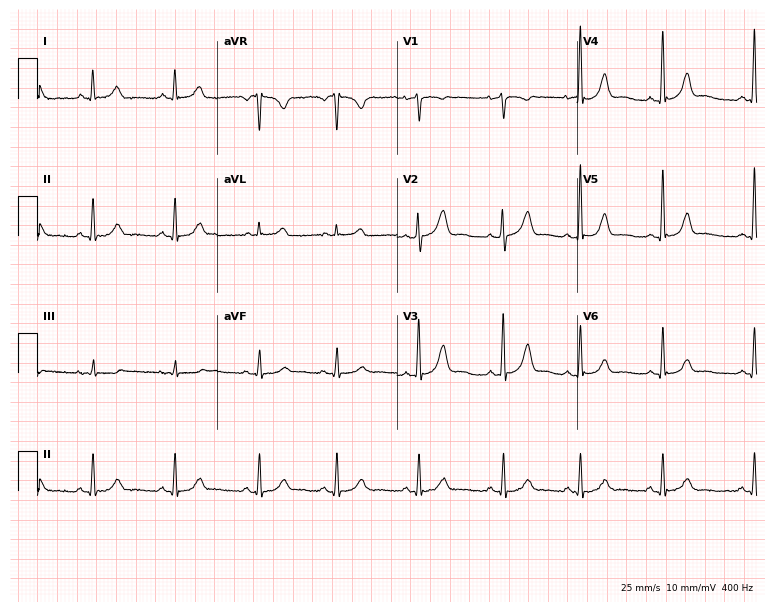
12-lead ECG from a woman, 34 years old. Recorded interpretation: within normal limits.